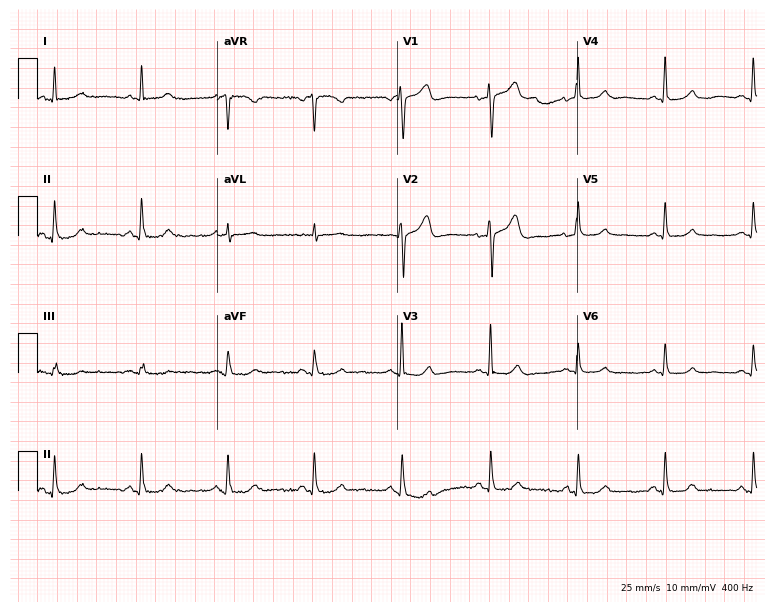
ECG — an 80-year-old woman. Labelled as a normal ECG.